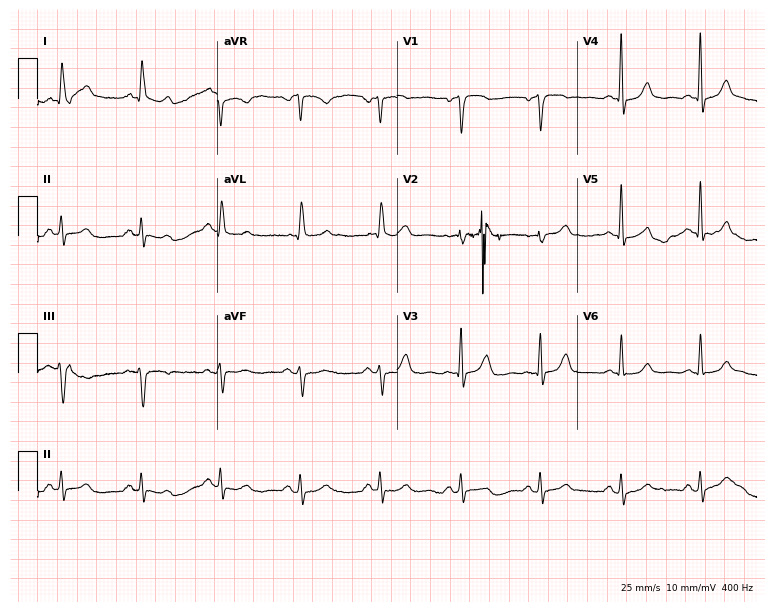
Standard 12-lead ECG recorded from a 68-year-old female patient. None of these six findings is recorded: first-degree AV block, right bundle branch block, left bundle branch block, sinus bradycardia, atrial fibrillation, sinus tachycardia.